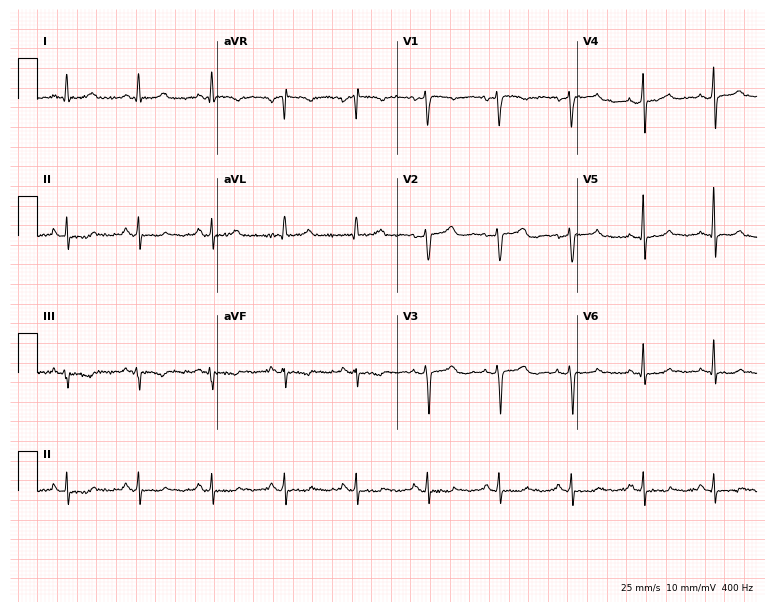
Standard 12-lead ECG recorded from a 49-year-old female patient (7.3-second recording at 400 Hz). None of these six findings is recorded: first-degree AV block, right bundle branch block (RBBB), left bundle branch block (LBBB), sinus bradycardia, atrial fibrillation (AF), sinus tachycardia.